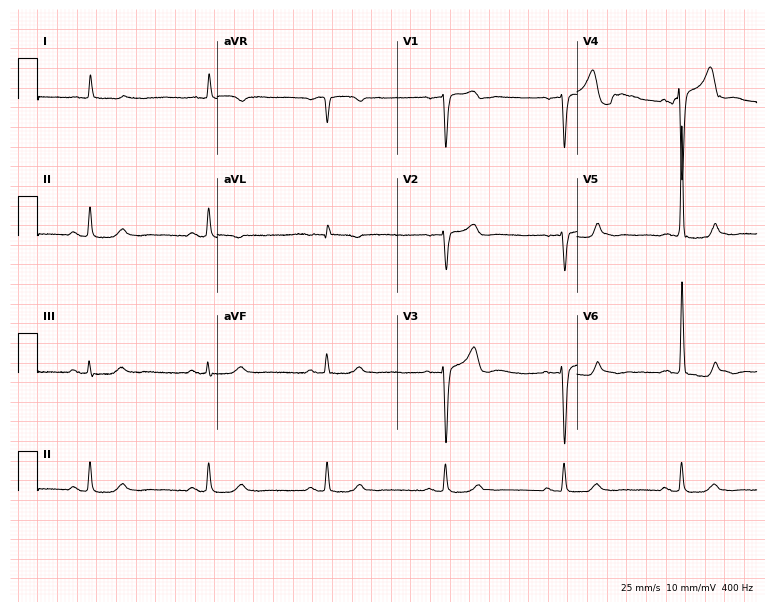
ECG (7.3-second recording at 400 Hz) — a male patient, 78 years old. Screened for six findings — first-degree AV block, right bundle branch block, left bundle branch block, sinus bradycardia, atrial fibrillation, sinus tachycardia — none is recorded. Findings outside these six are not listed.